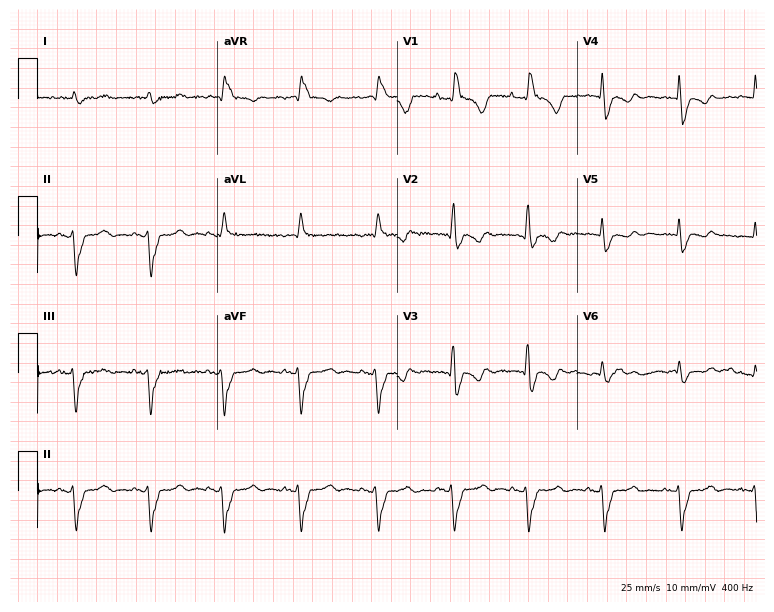
Resting 12-lead electrocardiogram (7.3-second recording at 400 Hz). Patient: a man, 65 years old. The tracing shows right bundle branch block.